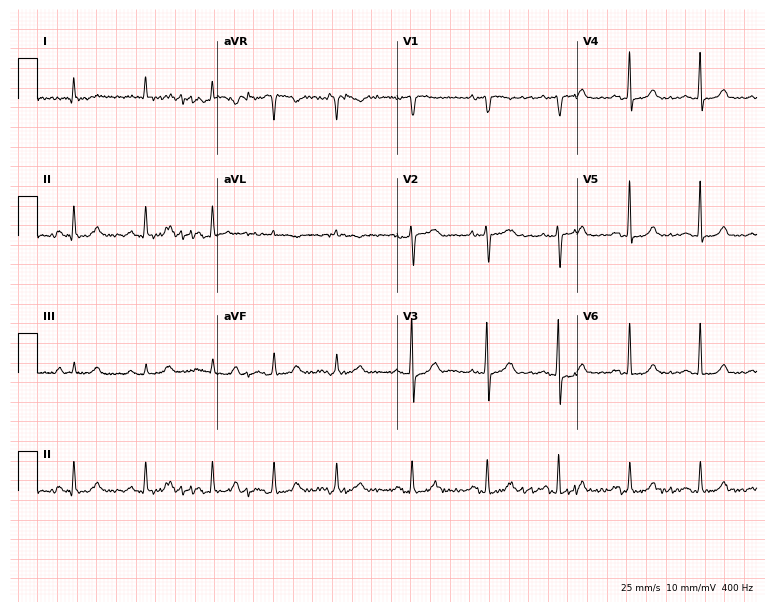
12-lead ECG from an 82-year-old female patient. No first-degree AV block, right bundle branch block, left bundle branch block, sinus bradycardia, atrial fibrillation or sinus tachycardia recorded for this tracing.